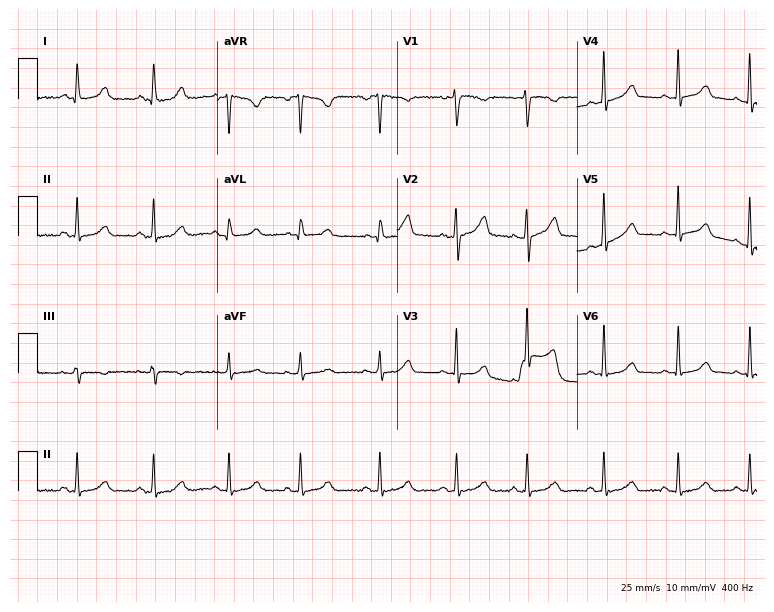
Electrocardiogram, a 47-year-old woman. Overall reading on record: normal ECG.